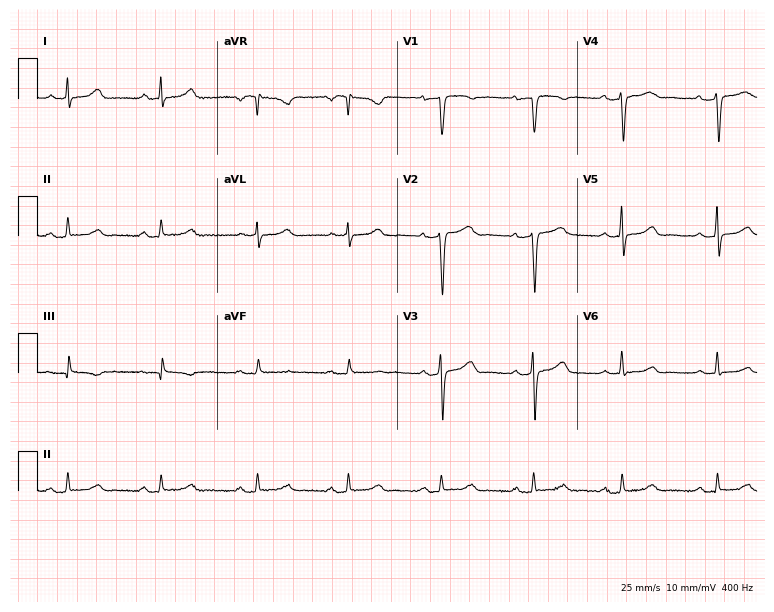
12-lead ECG (7.3-second recording at 400 Hz) from a woman, 47 years old. Screened for six findings — first-degree AV block, right bundle branch block, left bundle branch block, sinus bradycardia, atrial fibrillation, sinus tachycardia — none is recorded.